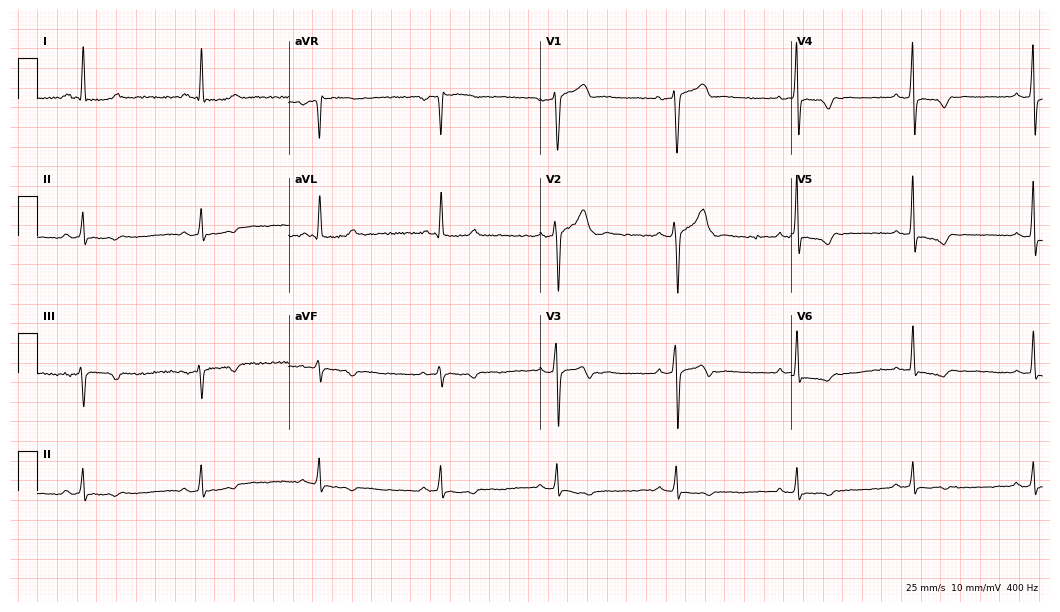
12-lead ECG from a 56-year-old male patient (10.2-second recording at 400 Hz). No first-degree AV block, right bundle branch block, left bundle branch block, sinus bradycardia, atrial fibrillation or sinus tachycardia recorded for this tracing. Findings outside these six are not listed.